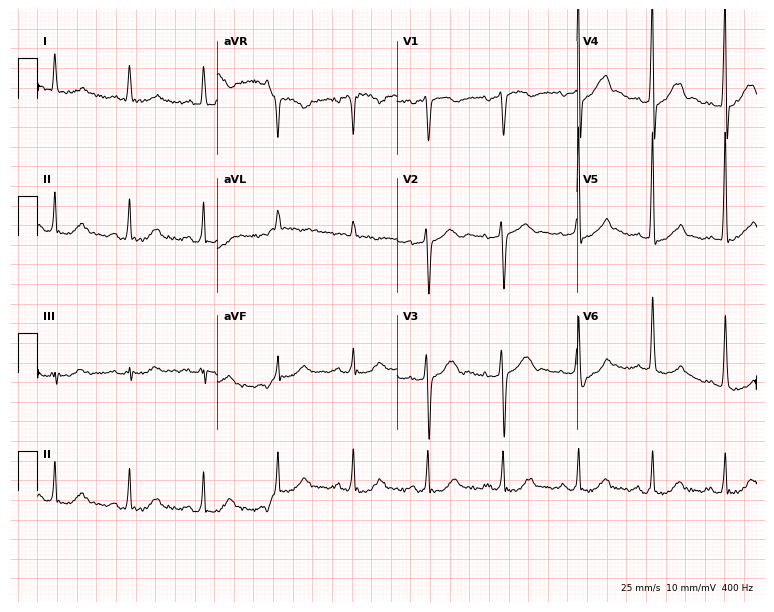
ECG (7.3-second recording at 400 Hz) — a 68-year-old man. Screened for six findings — first-degree AV block, right bundle branch block, left bundle branch block, sinus bradycardia, atrial fibrillation, sinus tachycardia — none is recorded.